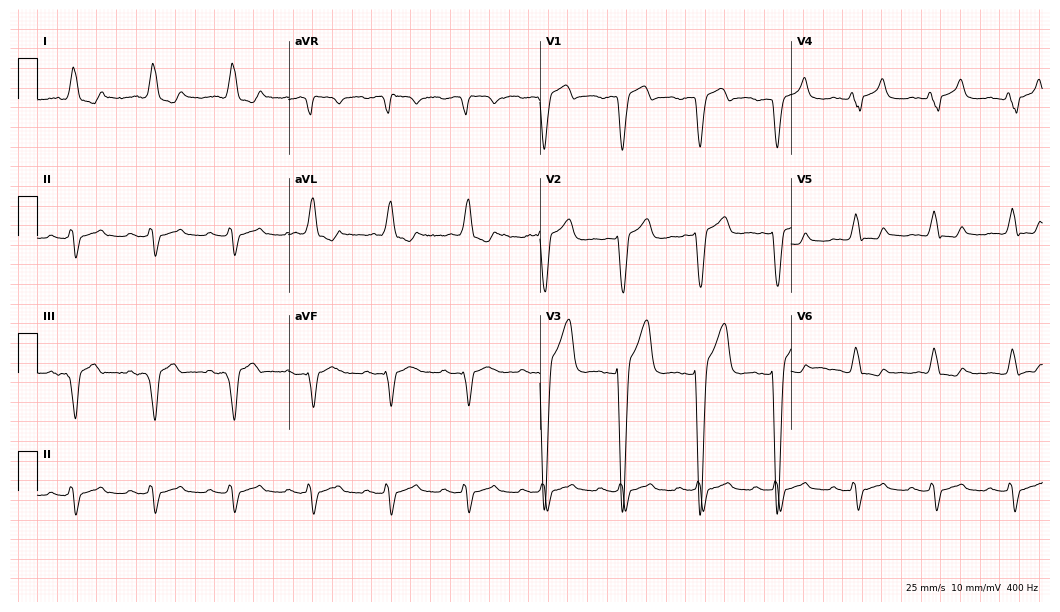
Standard 12-lead ECG recorded from an 82-year-old man (10.2-second recording at 400 Hz). The tracing shows left bundle branch block.